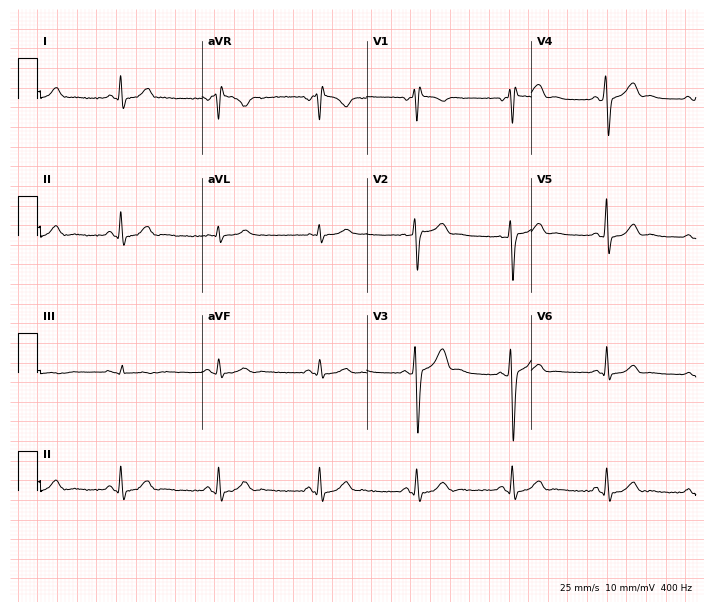
Resting 12-lead electrocardiogram (6.7-second recording at 400 Hz). Patient: a man, 48 years old. None of these six findings is recorded: first-degree AV block, right bundle branch block, left bundle branch block, sinus bradycardia, atrial fibrillation, sinus tachycardia. Other findings, if any, are not listed.